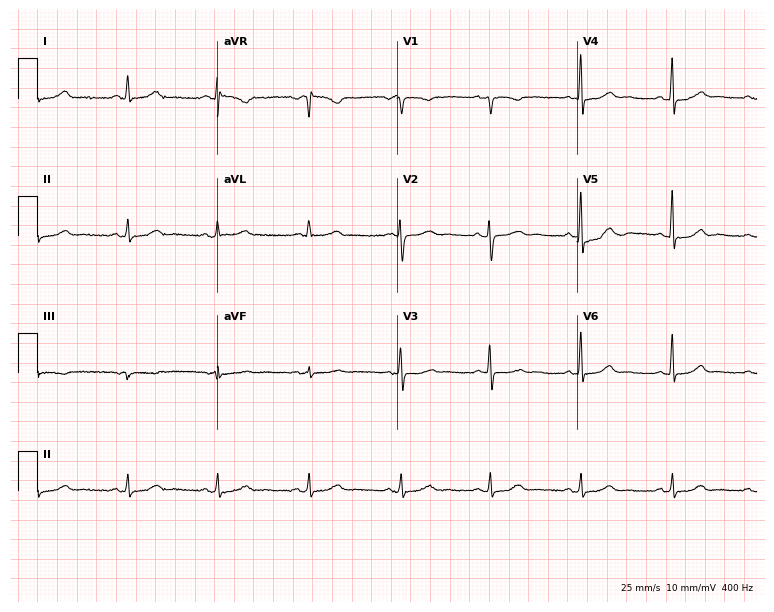
Standard 12-lead ECG recorded from a 56-year-old female patient (7.3-second recording at 400 Hz). Read as a normal ECG.